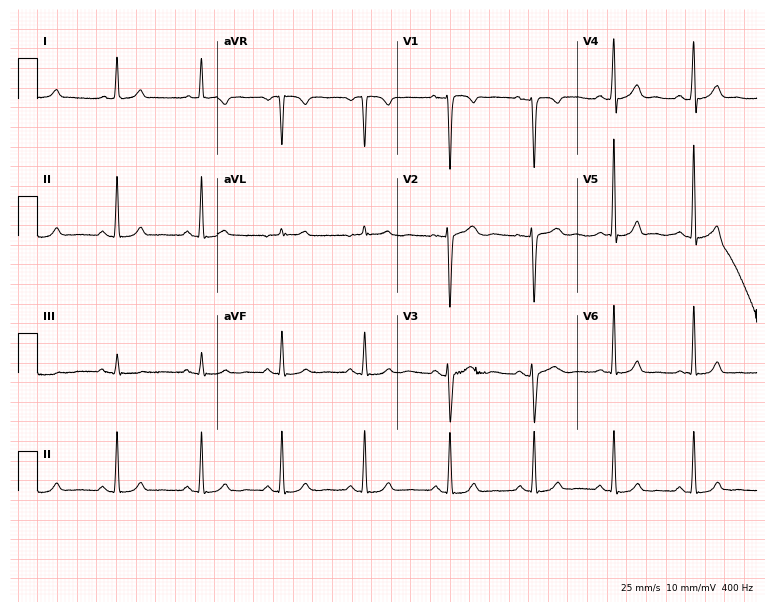
Electrocardiogram, a woman, 30 years old. Overall reading on record: normal ECG.